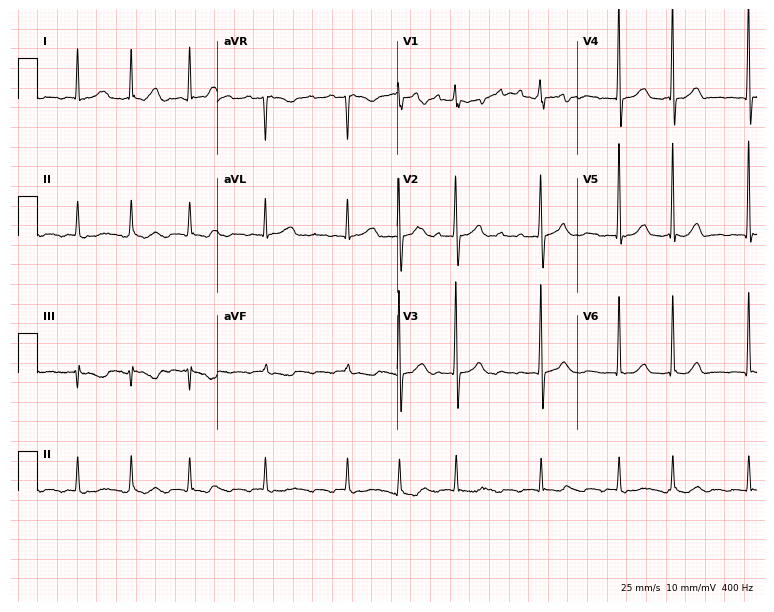
Standard 12-lead ECG recorded from a 75-year-old man (7.3-second recording at 400 Hz). The tracing shows atrial fibrillation.